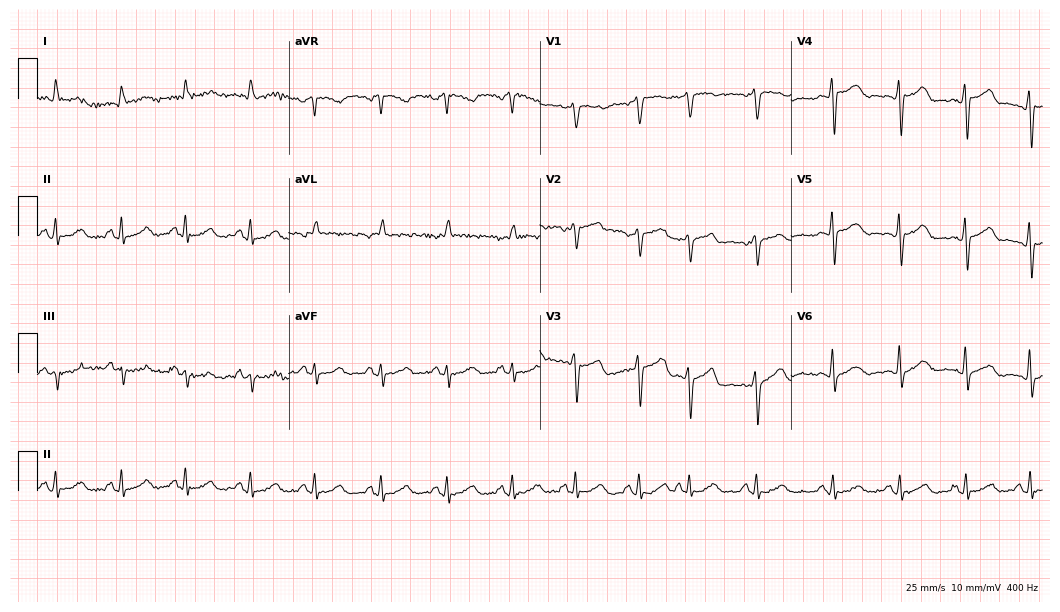
Electrocardiogram, a male, 81 years old. Of the six screened findings (first-degree AV block, right bundle branch block, left bundle branch block, sinus bradycardia, atrial fibrillation, sinus tachycardia), none is recorded.